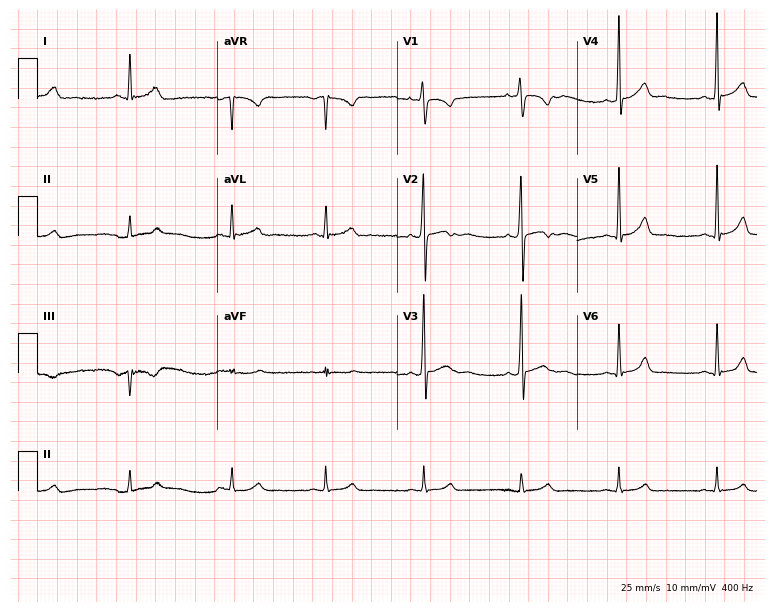
Electrocardiogram (7.3-second recording at 400 Hz), a 17-year-old man. Of the six screened findings (first-degree AV block, right bundle branch block, left bundle branch block, sinus bradycardia, atrial fibrillation, sinus tachycardia), none is recorded. Only these six findings were labelled.